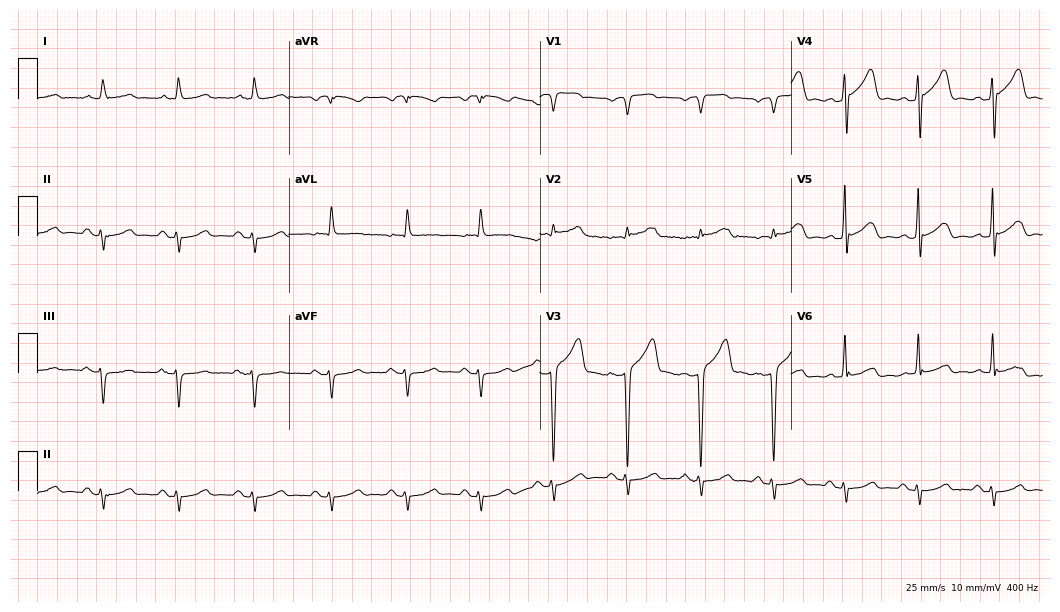
Electrocardiogram (10.2-second recording at 400 Hz), an 83-year-old male. Of the six screened findings (first-degree AV block, right bundle branch block (RBBB), left bundle branch block (LBBB), sinus bradycardia, atrial fibrillation (AF), sinus tachycardia), none is recorded.